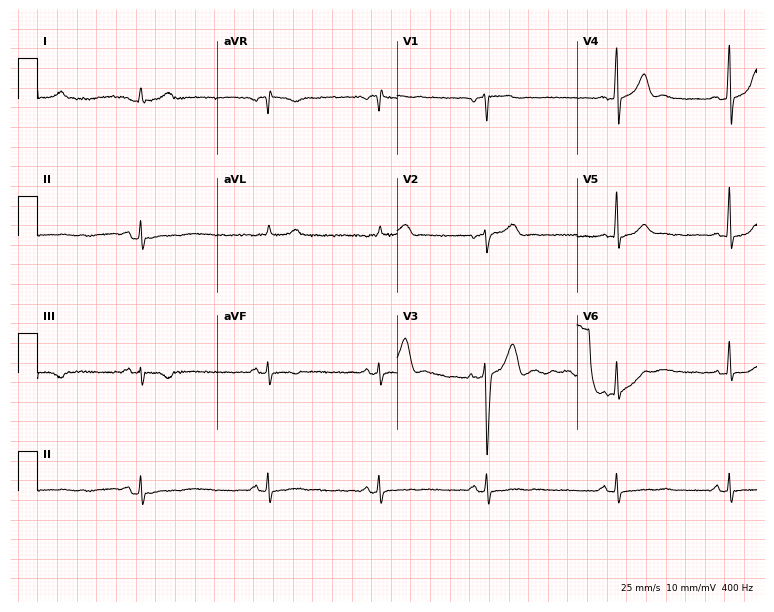
12-lead ECG from a 50-year-old man (7.3-second recording at 400 Hz). No first-degree AV block, right bundle branch block, left bundle branch block, sinus bradycardia, atrial fibrillation or sinus tachycardia recorded for this tracing. Only these six findings were labelled.